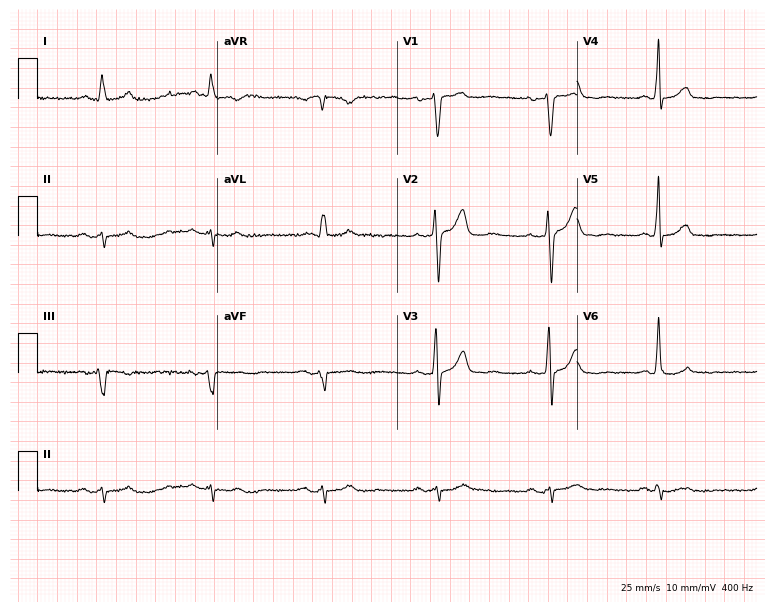
12-lead ECG (7.3-second recording at 400 Hz) from a male patient, 59 years old. Screened for six findings — first-degree AV block, right bundle branch block (RBBB), left bundle branch block (LBBB), sinus bradycardia, atrial fibrillation (AF), sinus tachycardia — none is recorded. Other findings, if any, are not listed.